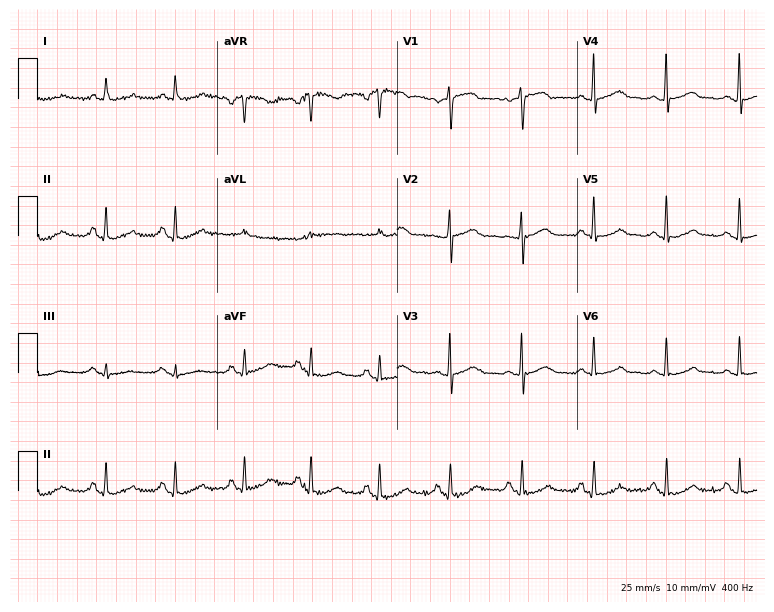
Standard 12-lead ECG recorded from a female patient, 56 years old (7.3-second recording at 400 Hz). Read as a normal ECG.